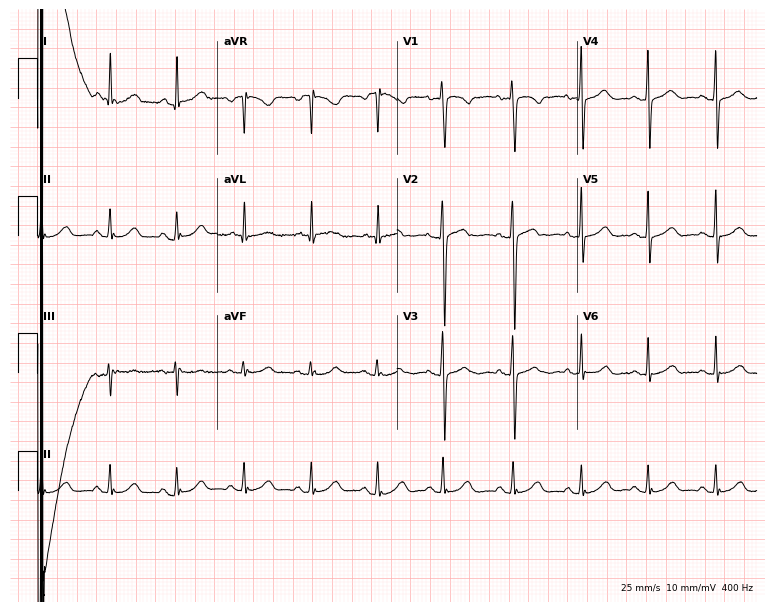
12-lead ECG from a female patient, 66 years old. Labelled as a normal ECG.